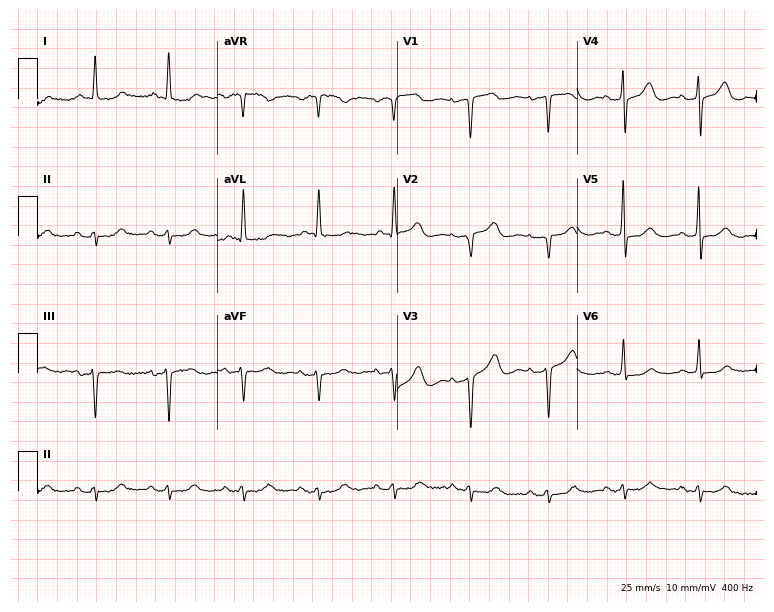
12-lead ECG from a female patient, 84 years old (7.3-second recording at 400 Hz). No first-degree AV block, right bundle branch block, left bundle branch block, sinus bradycardia, atrial fibrillation or sinus tachycardia recorded for this tracing. Findings outside these six are not listed.